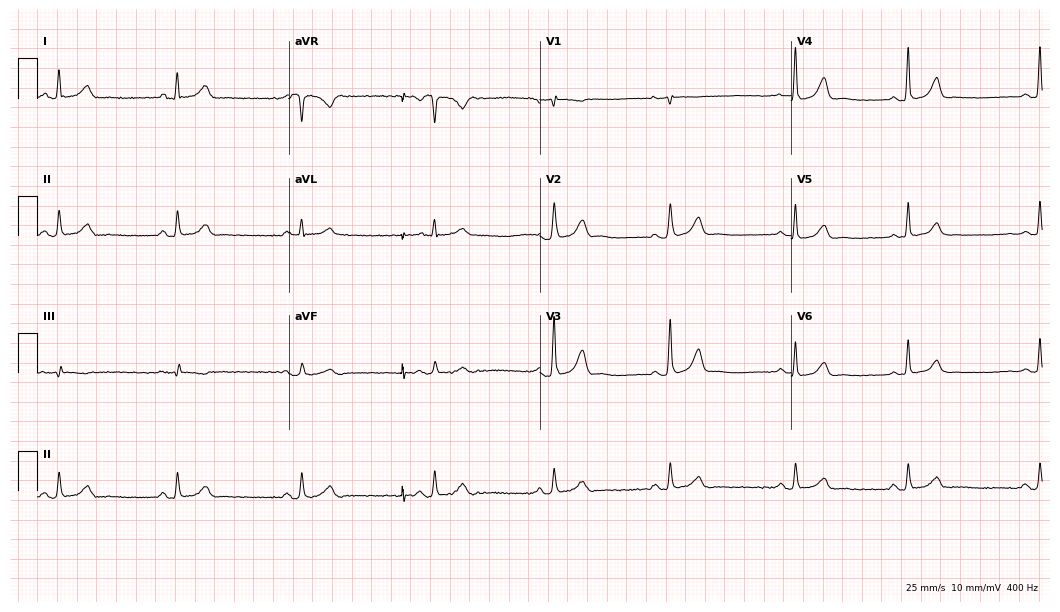
12-lead ECG from a woman, 38 years old (10.2-second recording at 400 Hz). Shows sinus bradycardia (a sinus rate of 50 beats per minute or less).